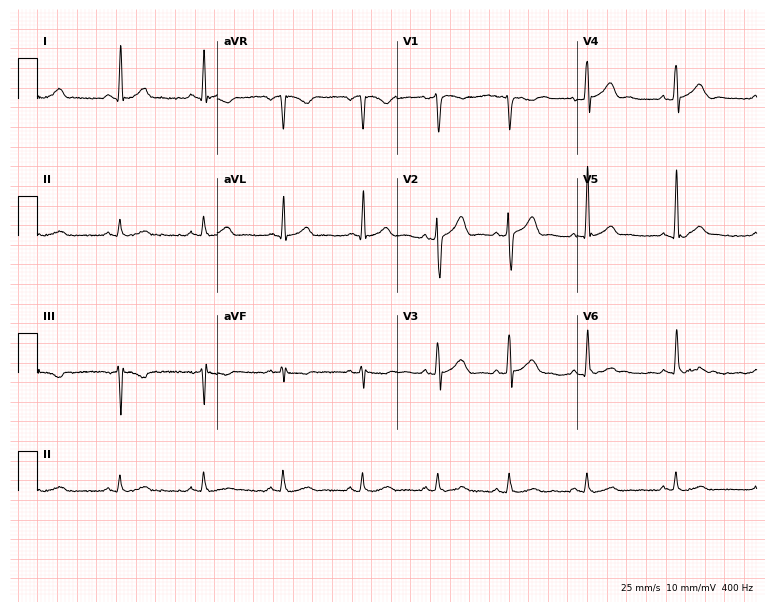
12-lead ECG (7.3-second recording at 400 Hz) from a 42-year-old male patient. Labelled as a normal ECG.